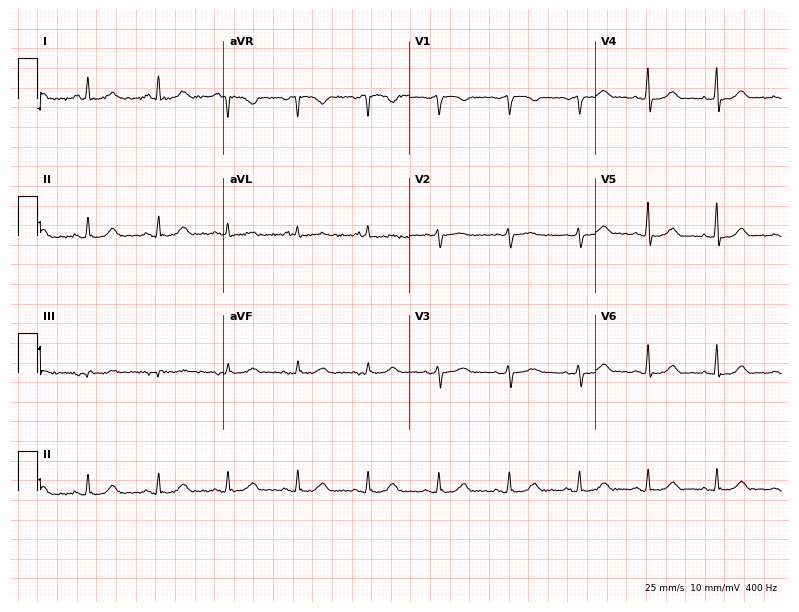
12-lead ECG from a woman, 56 years old. Recorded interpretation: within normal limits.